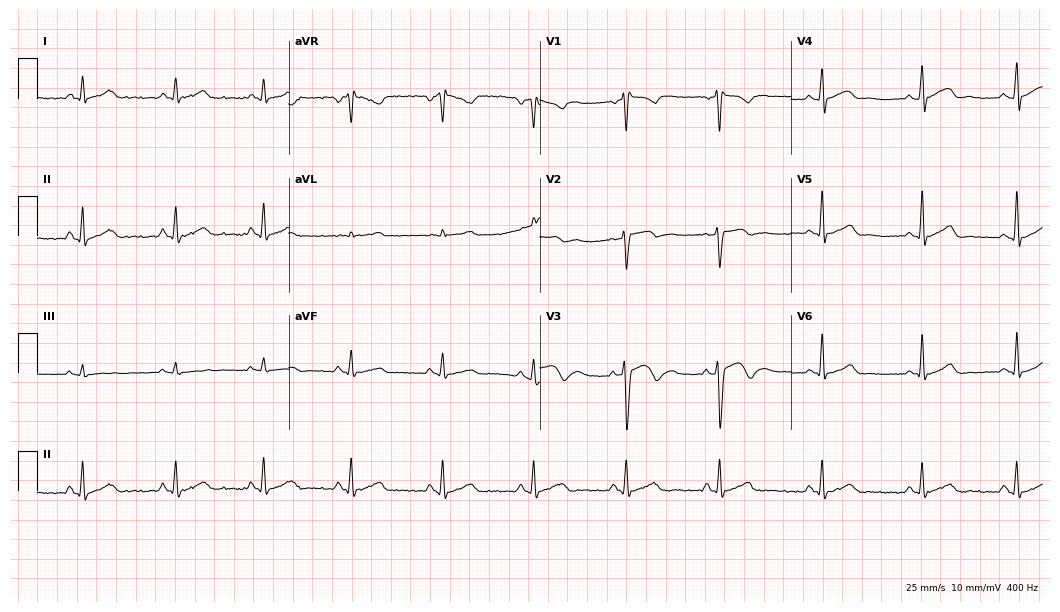
12-lead ECG from a 47-year-old male patient. Recorded interpretation: within normal limits.